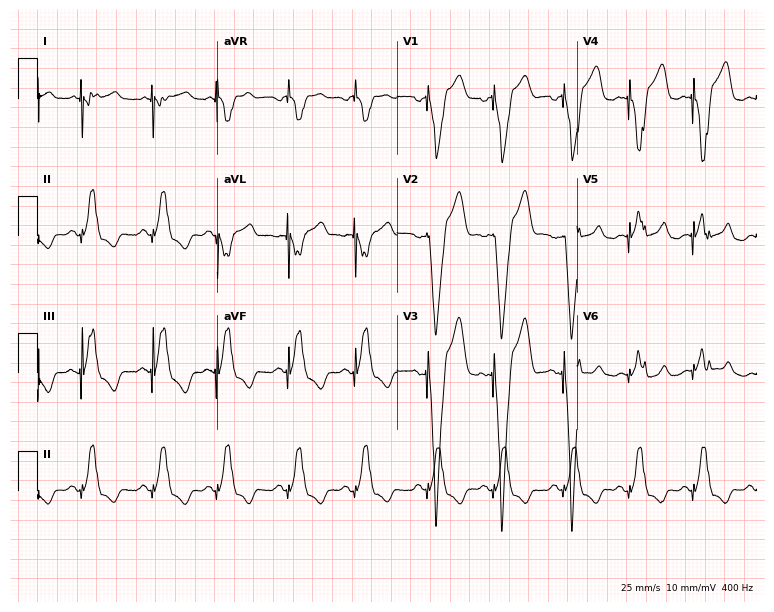
Electrocardiogram, an 82-year-old female patient. Of the six screened findings (first-degree AV block, right bundle branch block (RBBB), left bundle branch block (LBBB), sinus bradycardia, atrial fibrillation (AF), sinus tachycardia), none is recorded. Findings outside these six are not listed.